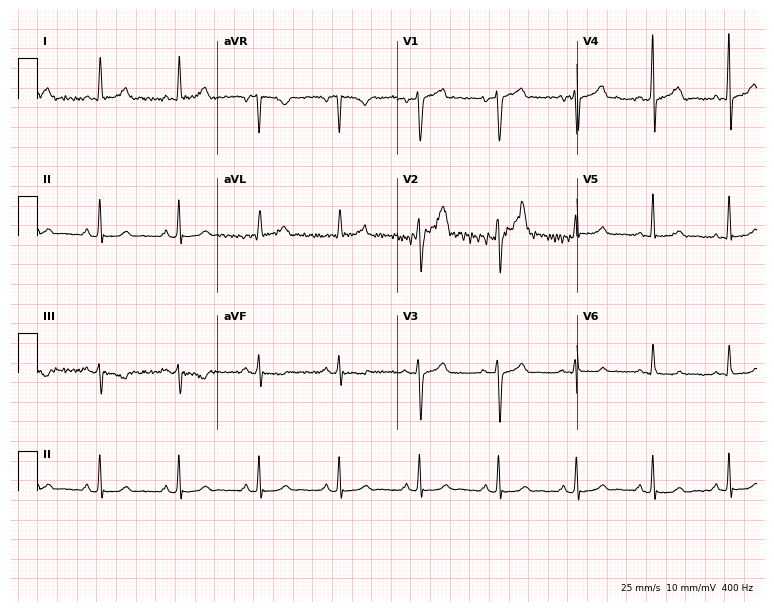
12-lead ECG (7.3-second recording at 400 Hz) from a male patient, 36 years old. Labelled as a normal ECG.